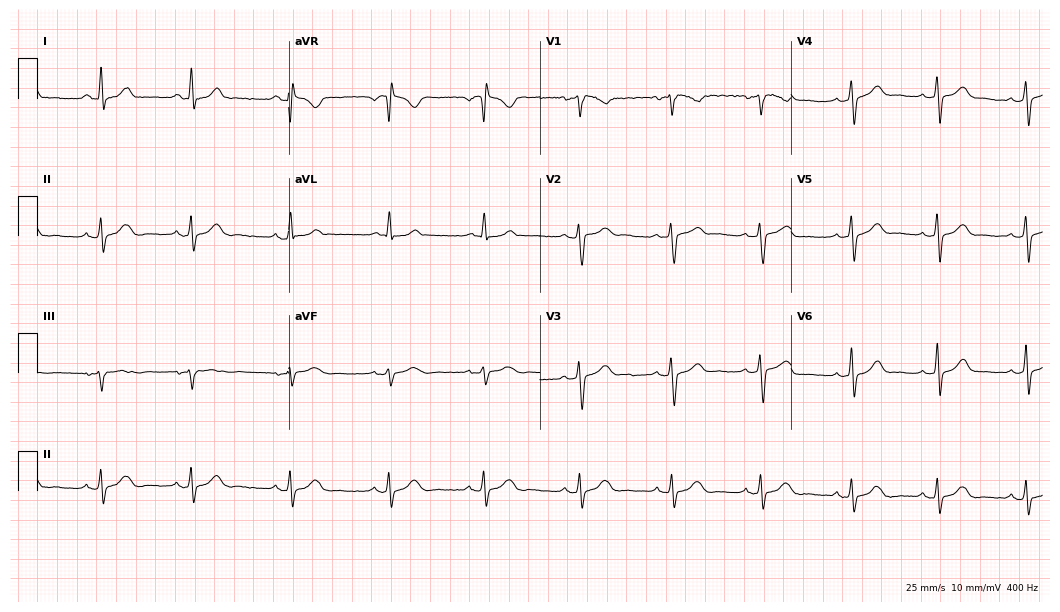
12-lead ECG from a female patient, 36 years old. Recorded interpretation: within normal limits.